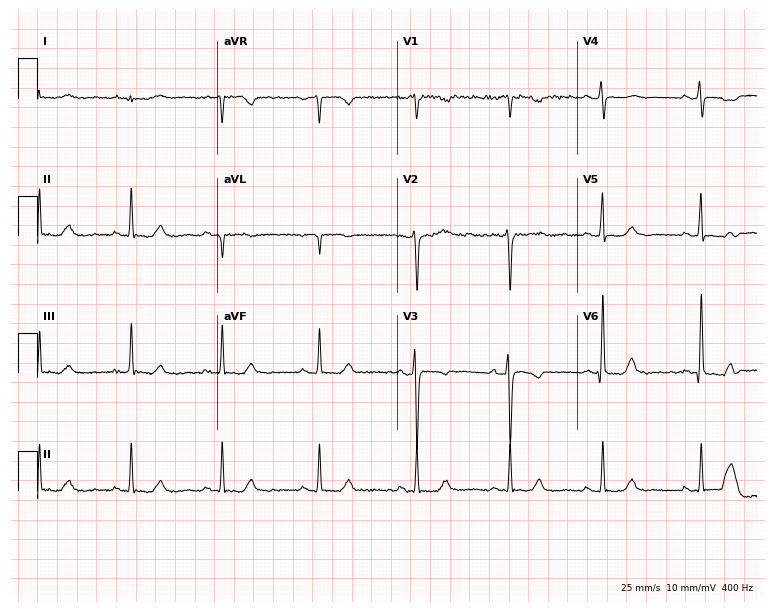
ECG — a 66-year-old woman. Screened for six findings — first-degree AV block, right bundle branch block, left bundle branch block, sinus bradycardia, atrial fibrillation, sinus tachycardia — none is recorded. Only these six findings were labelled.